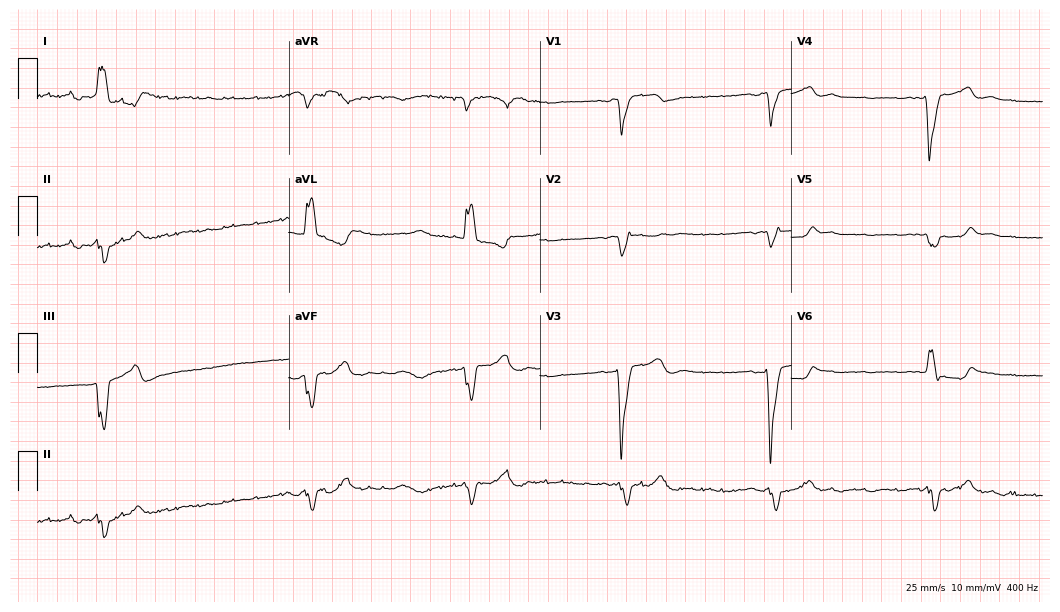
ECG — a woman, 74 years old. Findings include left bundle branch block, atrial fibrillation.